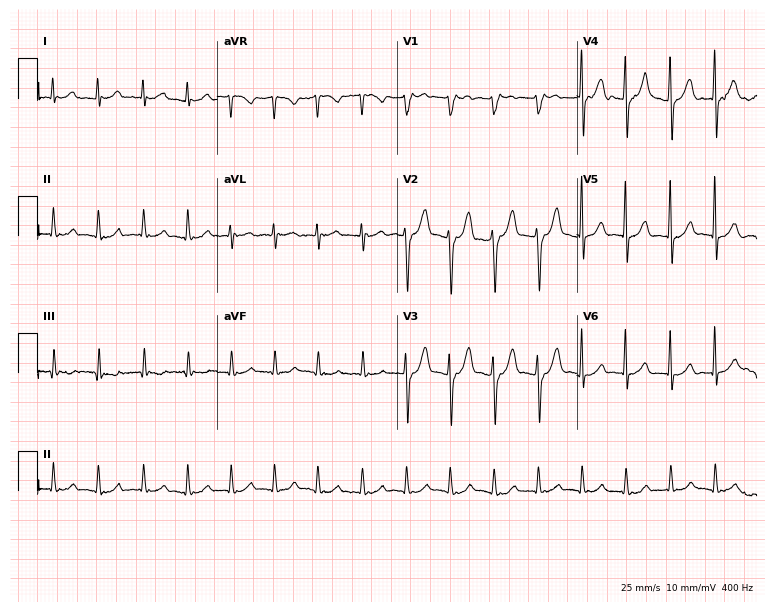
12-lead ECG from a male, 71 years old. Findings include sinus tachycardia (a sinus rate of 100 beats per minute or more).